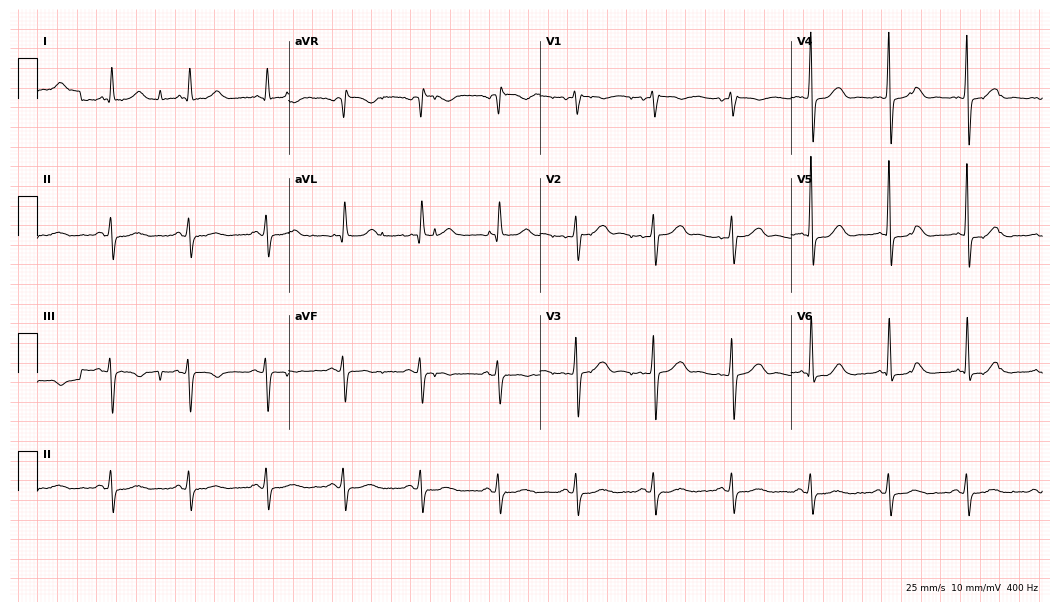
Electrocardiogram (10.2-second recording at 400 Hz), a man, 80 years old. Of the six screened findings (first-degree AV block, right bundle branch block, left bundle branch block, sinus bradycardia, atrial fibrillation, sinus tachycardia), none is recorded. Only these six findings were labelled.